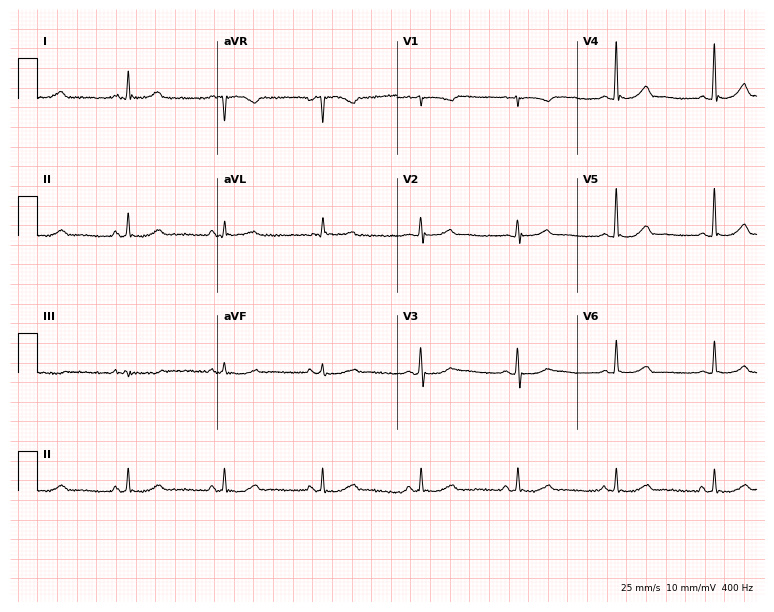
Electrocardiogram (7.3-second recording at 400 Hz), a female, 84 years old. Overall reading on record: normal ECG.